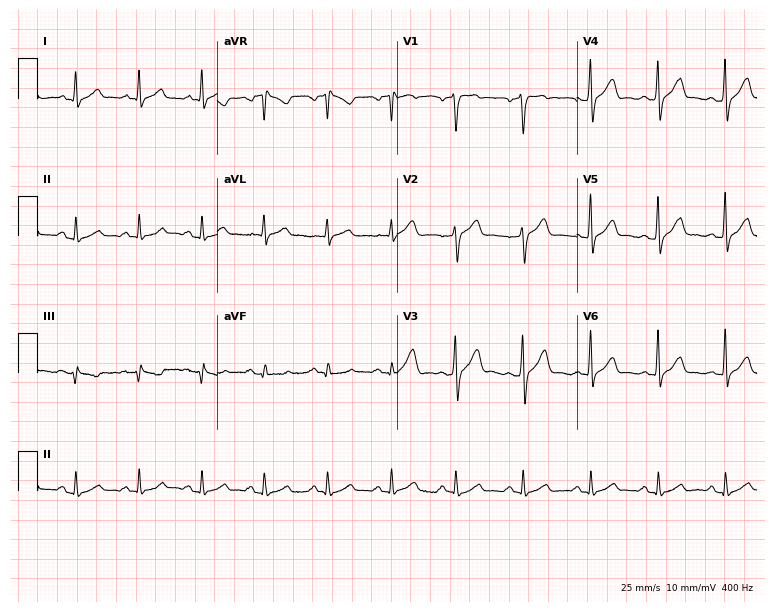
Electrocardiogram (7.3-second recording at 400 Hz), a 47-year-old male patient. Overall reading on record: normal ECG.